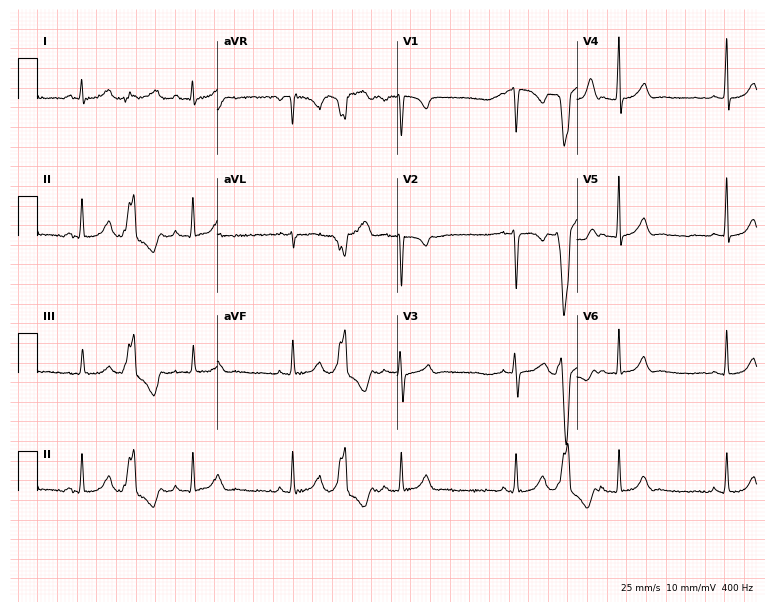
12-lead ECG (7.3-second recording at 400 Hz) from a 27-year-old woman. Screened for six findings — first-degree AV block, right bundle branch block, left bundle branch block, sinus bradycardia, atrial fibrillation, sinus tachycardia — none is recorded.